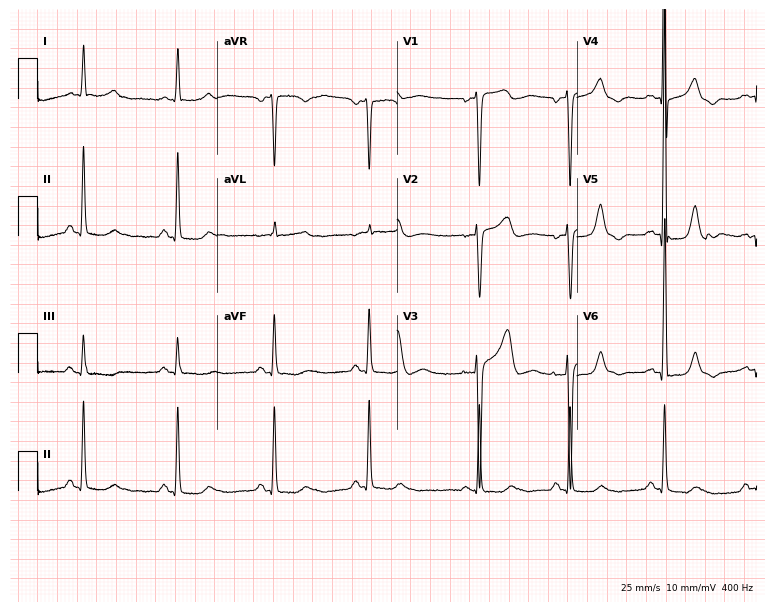
Electrocardiogram, a male, 81 years old. Of the six screened findings (first-degree AV block, right bundle branch block (RBBB), left bundle branch block (LBBB), sinus bradycardia, atrial fibrillation (AF), sinus tachycardia), none is recorded. Only these six findings were labelled.